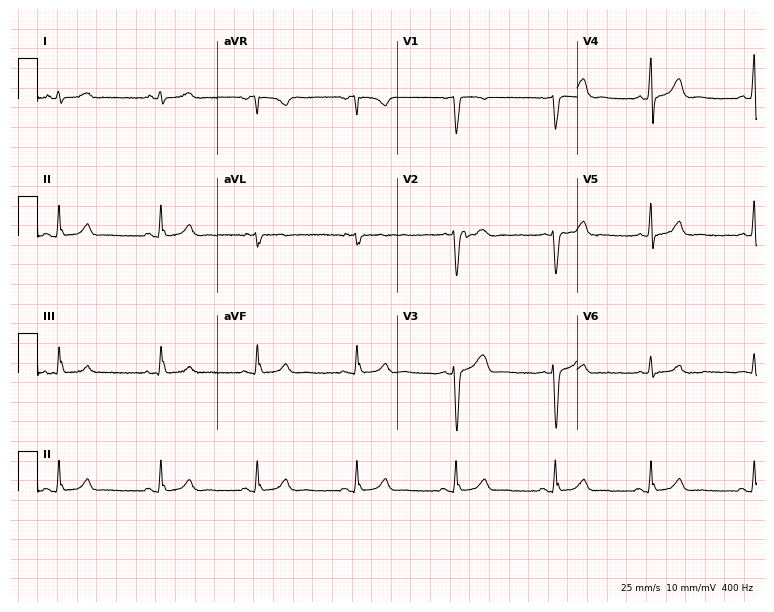
12-lead ECG (7.3-second recording at 400 Hz) from a female patient, 37 years old. Screened for six findings — first-degree AV block, right bundle branch block (RBBB), left bundle branch block (LBBB), sinus bradycardia, atrial fibrillation (AF), sinus tachycardia — none is recorded.